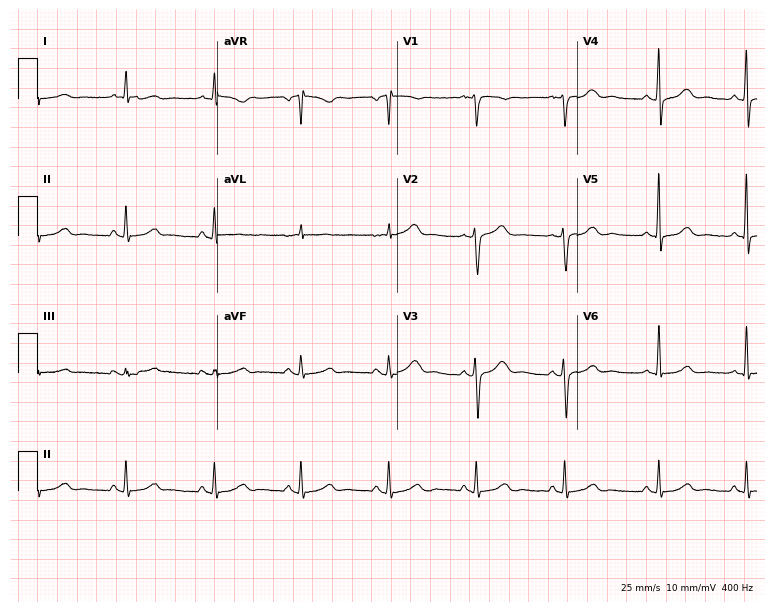
ECG — a 57-year-old female patient. Labelled as a normal ECG.